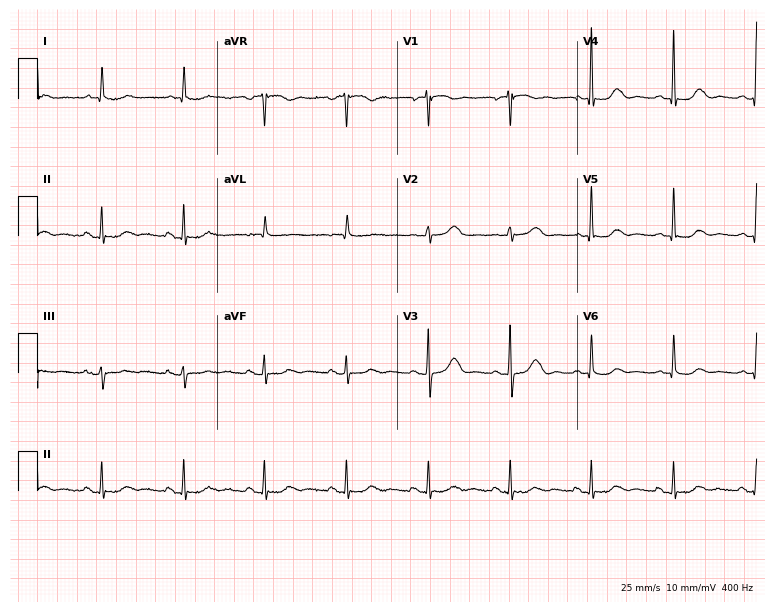
Resting 12-lead electrocardiogram. Patient: a female, 68 years old. None of these six findings is recorded: first-degree AV block, right bundle branch block, left bundle branch block, sinus bradycardia, atrial fibrillation, sinus tachycardia. Findings outside these six are not listed.